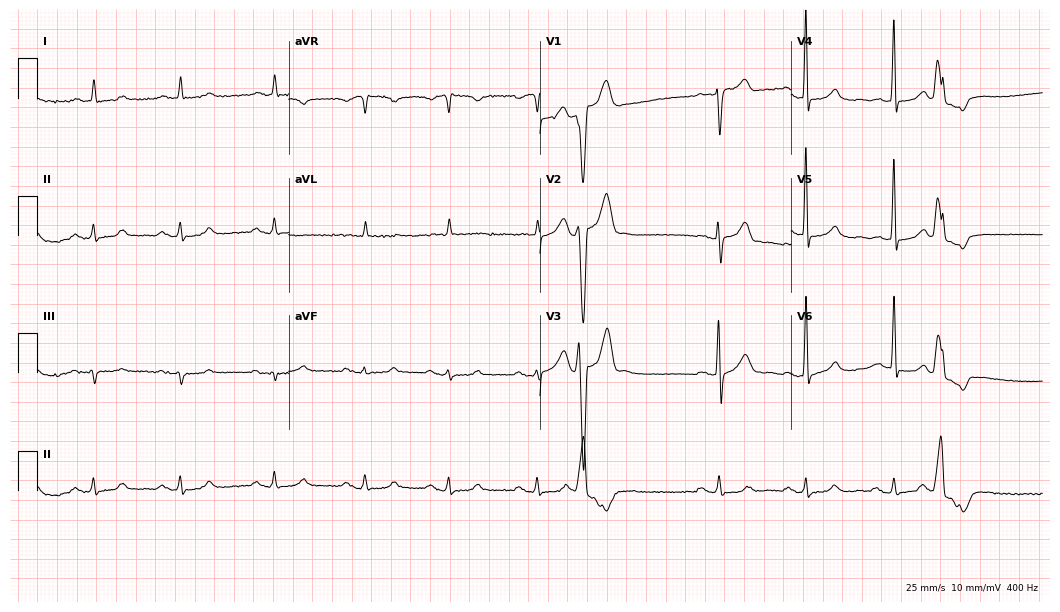
Electrocardiogram, an 84-year-old male patient. Overall reading on record: normal ECG.